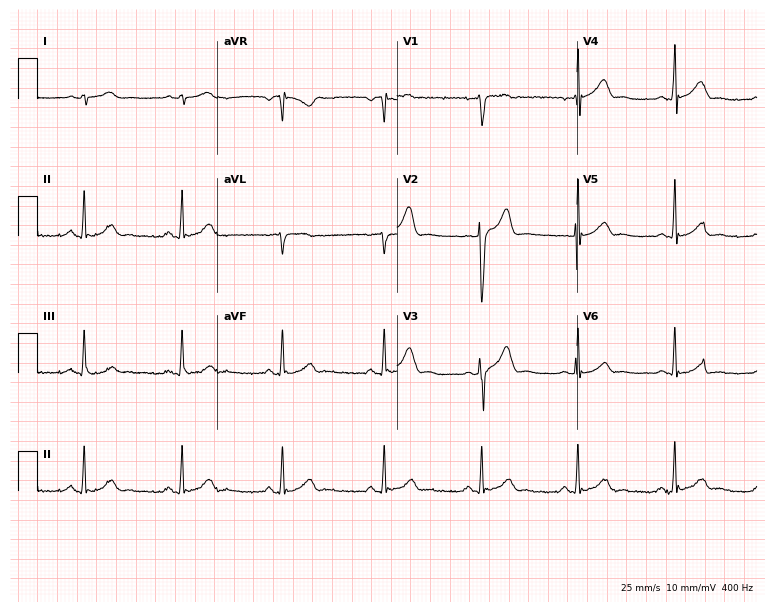
Electrocardiogram (7.3-second recording at 400 Hz), a male, 37 years old. Overall reading on record: normal ECG.